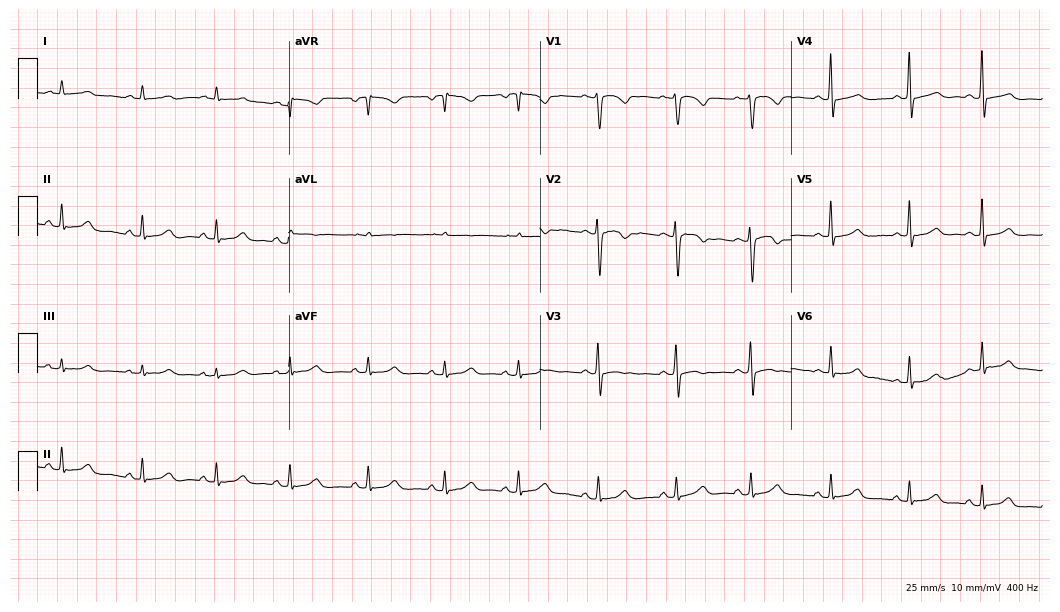
12-lead ECG from a female, 41 years old (10.2-second recording at 400 Hz). Recorded interpretation: within normal limits.